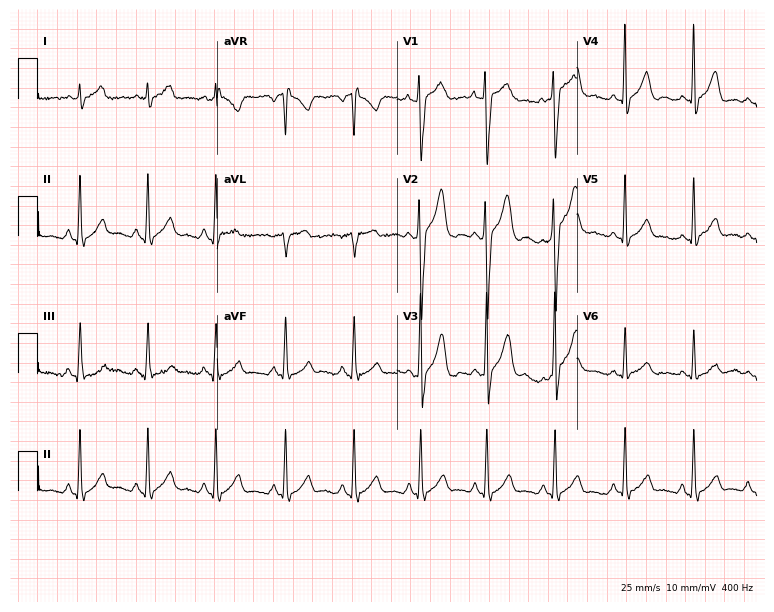
12-lead ECG from an 18-year-old man. No first-degree AV block, right bundle branch block, left bundle branch block, sinus bradycardia, atrial fibrillation or sinus tachycardia recorded for this tracing. Other findings, if any, are not listed.